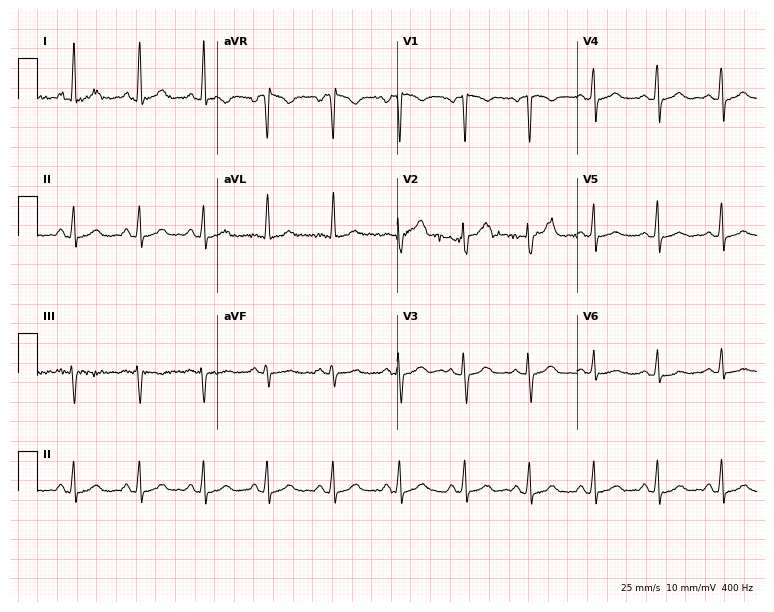
Standard 12-lead ECG recorded from a woman, 52 years old. None of these six findings is recorded: first-degree AV block, right bundle branch block (RBBB), left bundle branch block (LBBB), sinus bradycardia, atrial fibrillation (AF), sinus tachycardia. Findings outside these six are not listed.